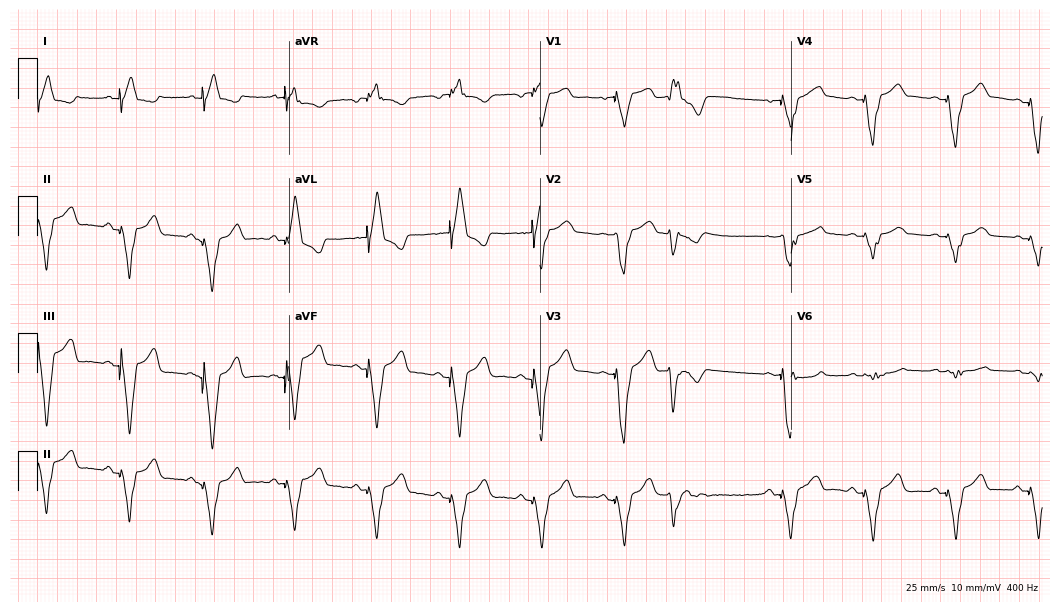
Resting 12-lead electrocardiogram. Patient: a female, 81 years old. None of these six findings is recorded: first-degree AV block, right bundle branch block, left bundle branch block, sinus bradycardia, atrial fibrillation, sinus tachycardia. Only these six findings were labelled.